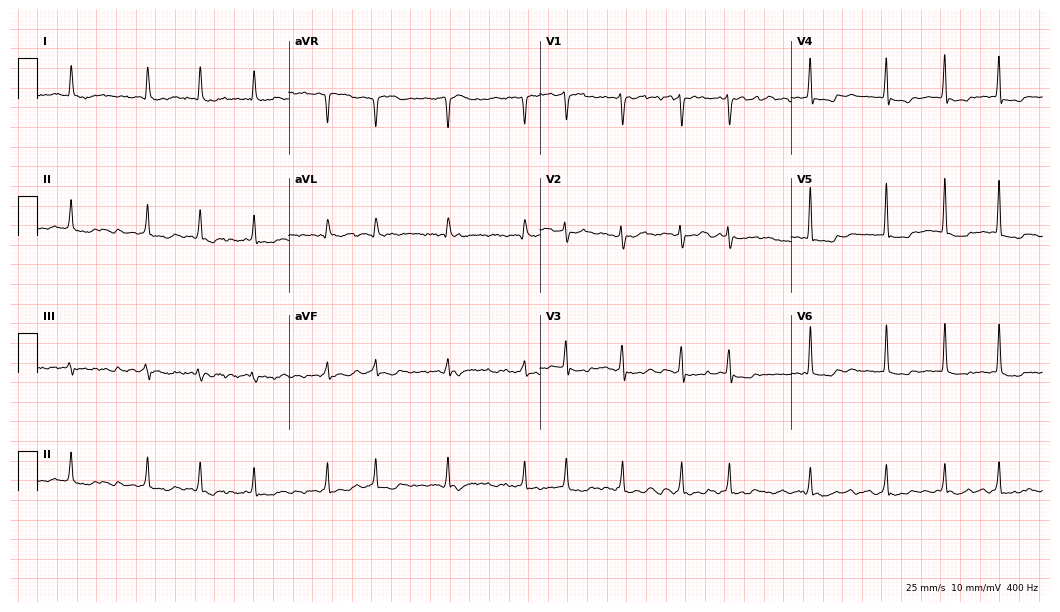
12-lead ECG (10.2-second recording at 400 Hz) from a female patient, 73 years old. Findings include atrial fibrillation.